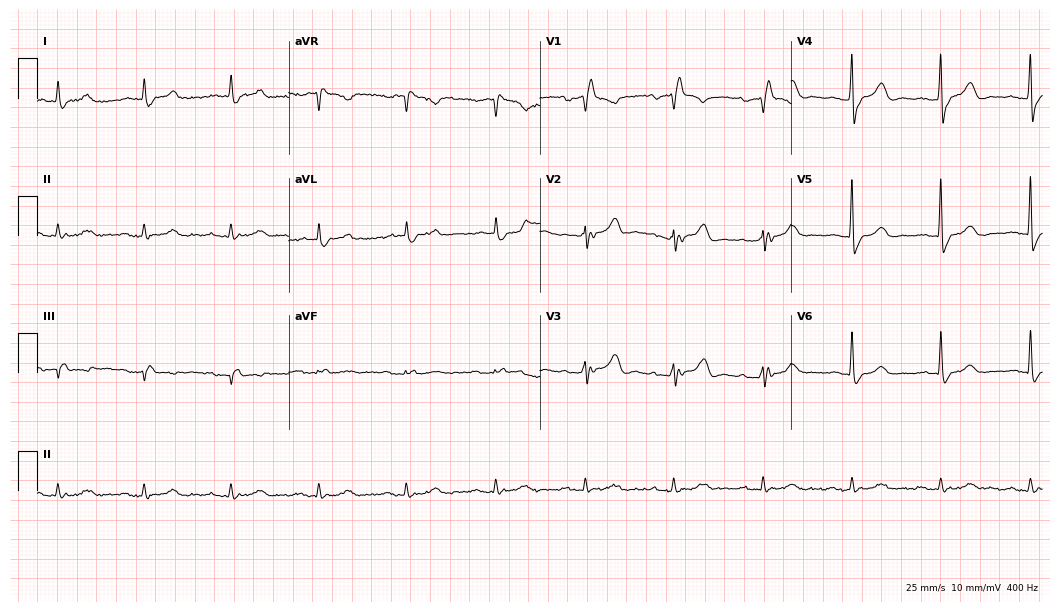
Electrocardiogram, a female patient, 83 years old. Interpretation includes right bundle branch block (RBBB).